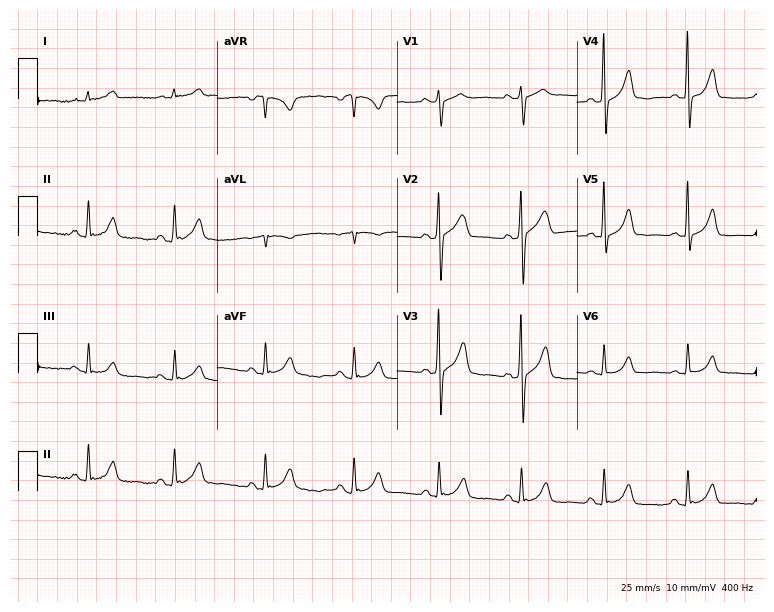
ECG — a 63-year-old female. Screened for six findings — first-degree AV block, right bundle branch block (RBBB), left bundle branch block (LBBB), sinus bradycardia, atrial fibrillation (AF), sinus tachycardia — none is recorded.